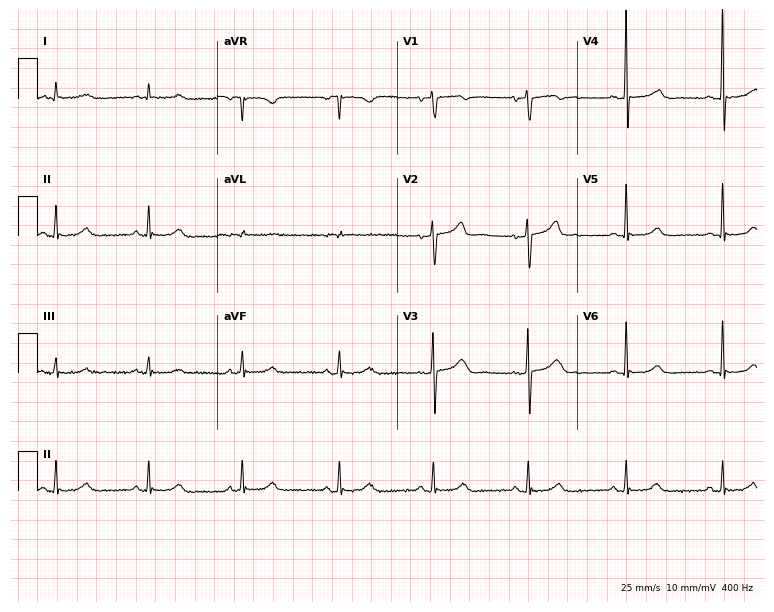
Standard 12-lead ECG recorded from a 66-year-old woman. None of these six findings is recorded: first-degree AV block, right bundle branch block, left bundle branch block, sinus bradycardia, atrial fibrillation, sinus tachycardia.